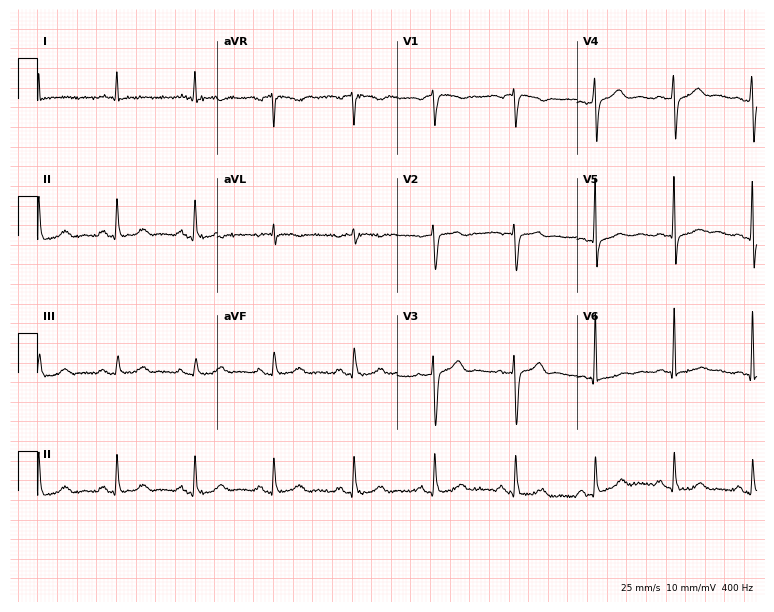
Resting 12-lead electrocardiogram (7.3-second recording at 400 Hz). Patient: a man, 70 years old. None of these six findings is recorded: first-degree AV block, right bundle branch block (RBBB), left bundle branch block (LBBB), sinus bradycardia, atrial fibrillation (AF), sinus tachycardia.